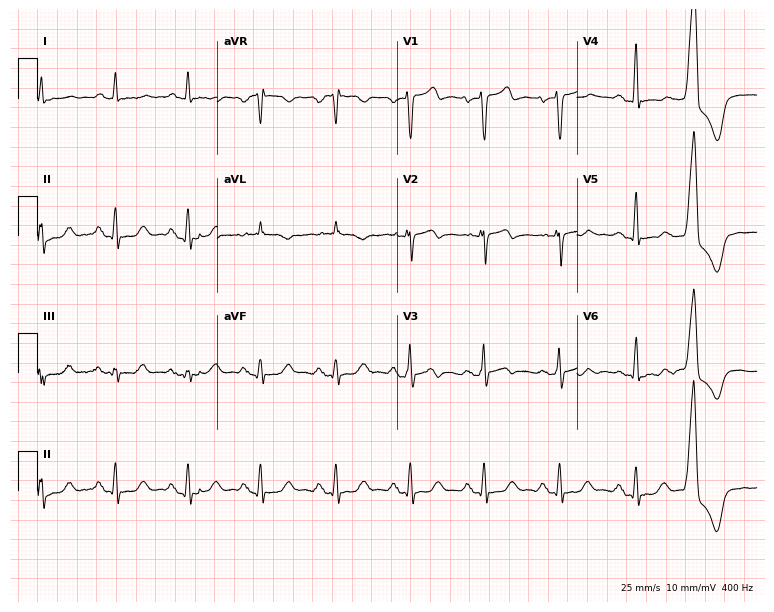
12-lead ECG from a 72-year-old male (7.3-second recording at 400 Hz). Recorded interpretation: within normal limits.